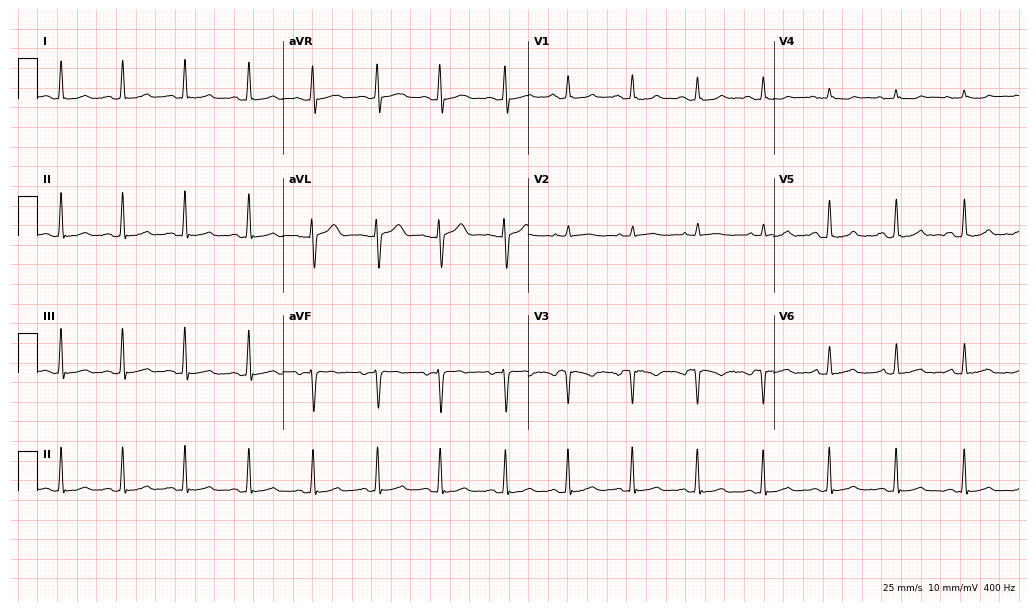
12-lead ECG (10-second recording at 400 Hz) from a 44-year-old female. Screened for six findings — first-degree AV block, right bundle branch block, left bundle branch block, sinus bradycardia, atrial fibrillation, sinus tachycardia — none is recorded.